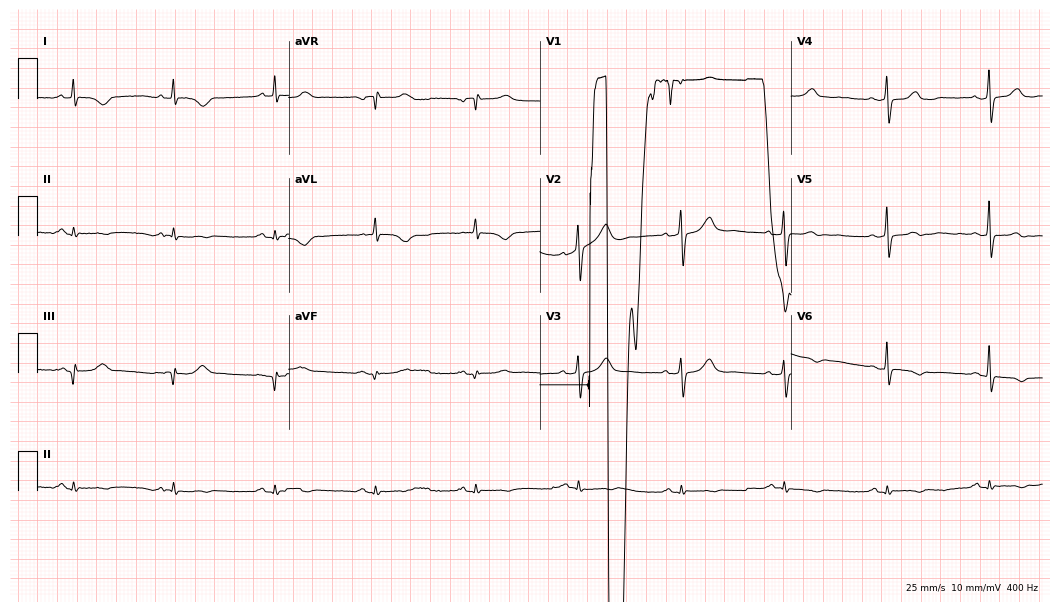
12-lead ECG from a 65-year-old woman. Screened for six findings — first-degree AV block, right bundle branch block, left bundle branch block, sinus bradycardia, atrial fibrillation, sinus tachycardia — none is recorded. Findings outside these six are not listed.